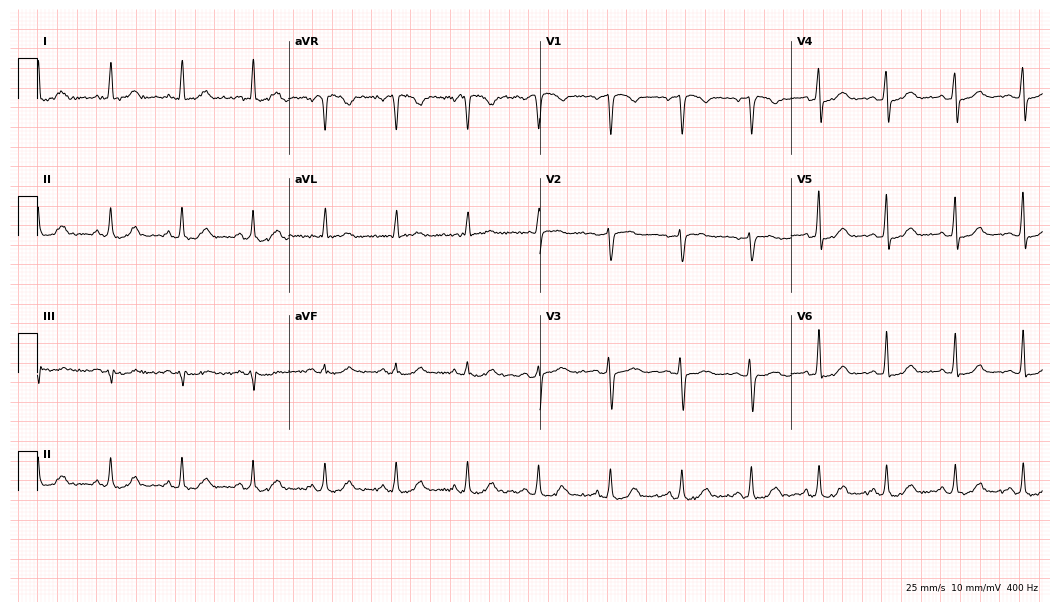
12-lead ECG from a 53-year-old woman (10.2-second recording at 400 Hz). Recorded interpretation: within normal limits.